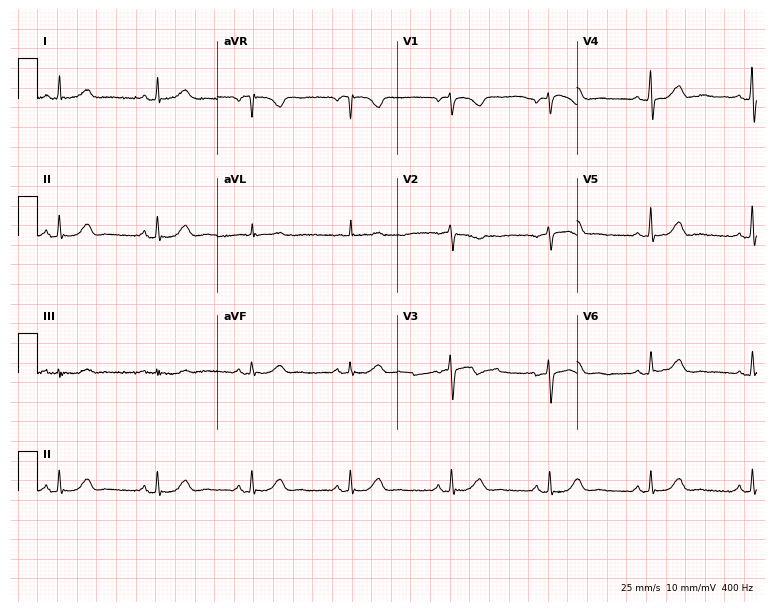
Resting 12-lead electrocardiogram (7.3-second recording at 400 Hz). Patient: a 68-year-old female. Read as a normal ECG.